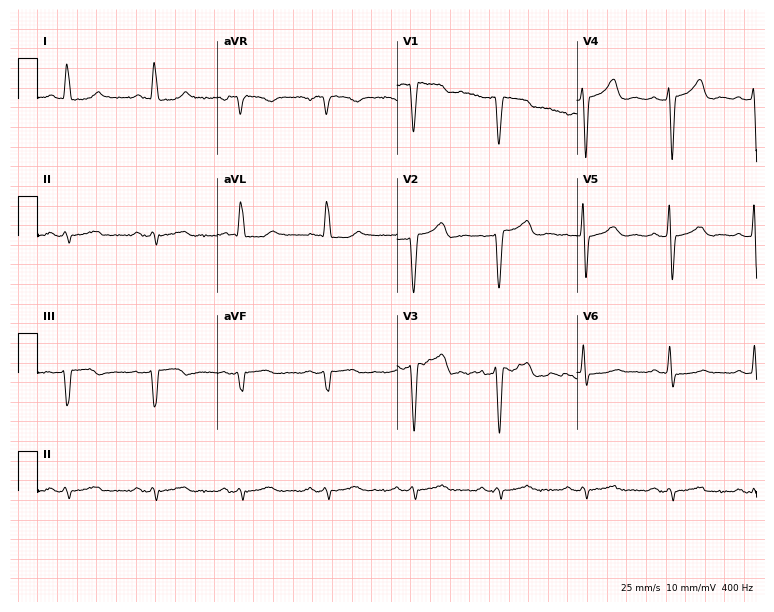
12-lead ECG from a 59-year-old male patient. Screened for six findings — first-degree AV block, right bundle branch block (RBBB), left bundle branch block (LBBB), sinus bradycardia, atrial fibrillation (AF), sinus tachycardia — none is recorded. Findings outside these six are not listed.